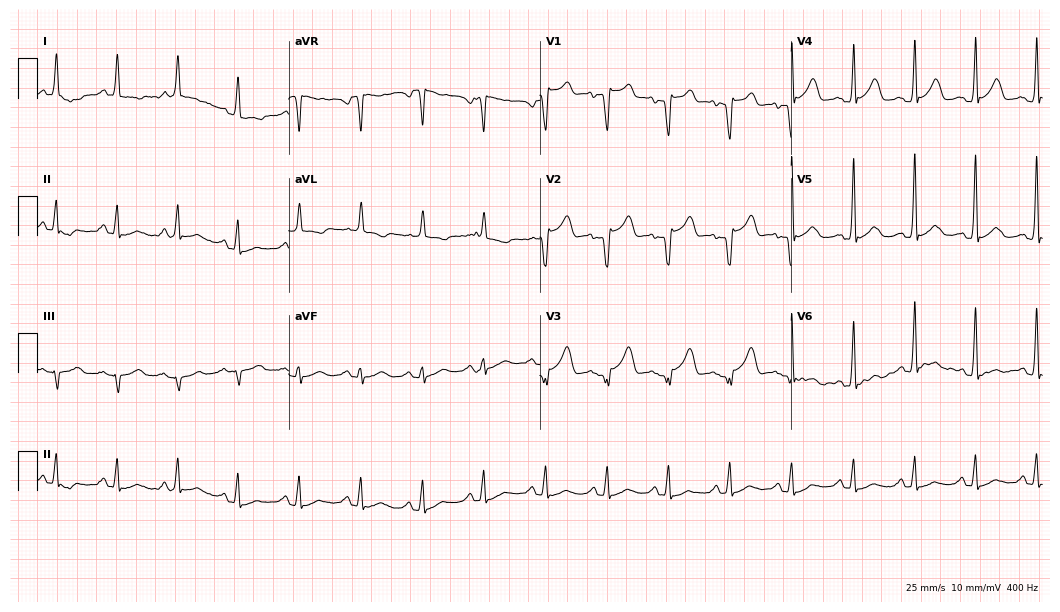
12-lead ECG from a 71-year-old female patient. Labelled as a normal ECG.